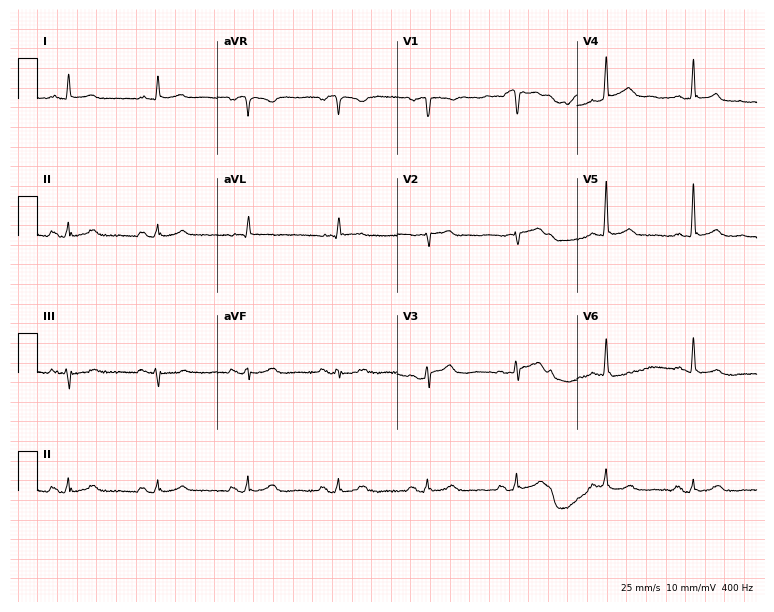
12-lead ECG from a man, 71 years old. Labelled as a normal ECG.